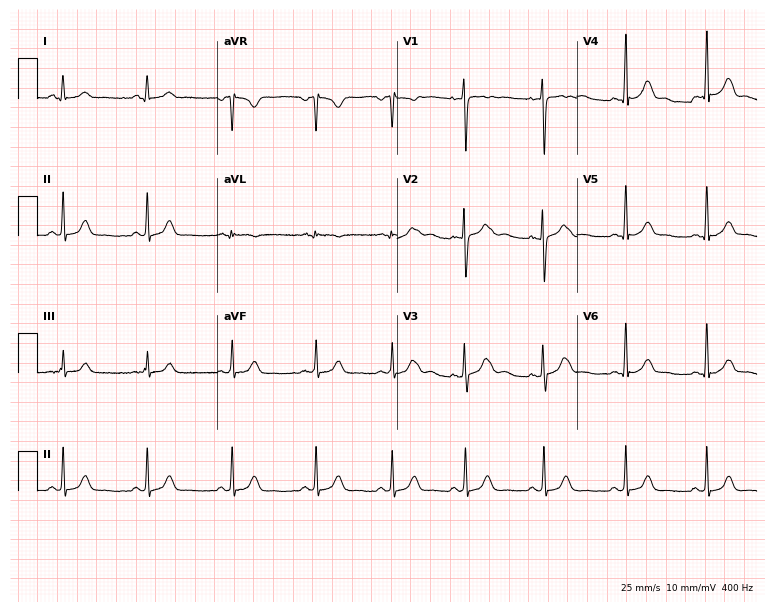
Electrocardiogram (7.3-second recording at 400 Hz), a female, 21 years old. Of the six screened findings (first-degree AV block, right bundle branch block, left bundle branch block, sinus bradycardia, atrial fibrillation, sinus tachycardia), none is recorded. Only these six findings were labelled.